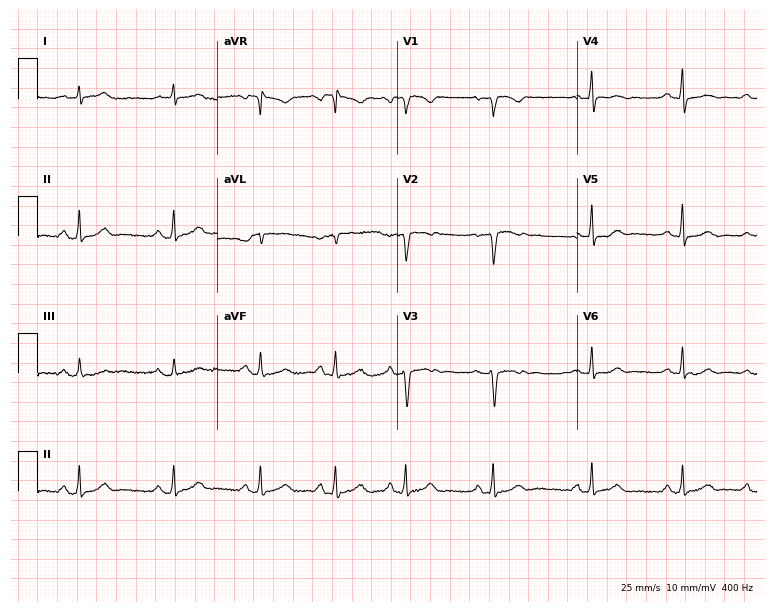
12-lead ECG from a female, 34 years old. Recorded interpretation: within normal limits.